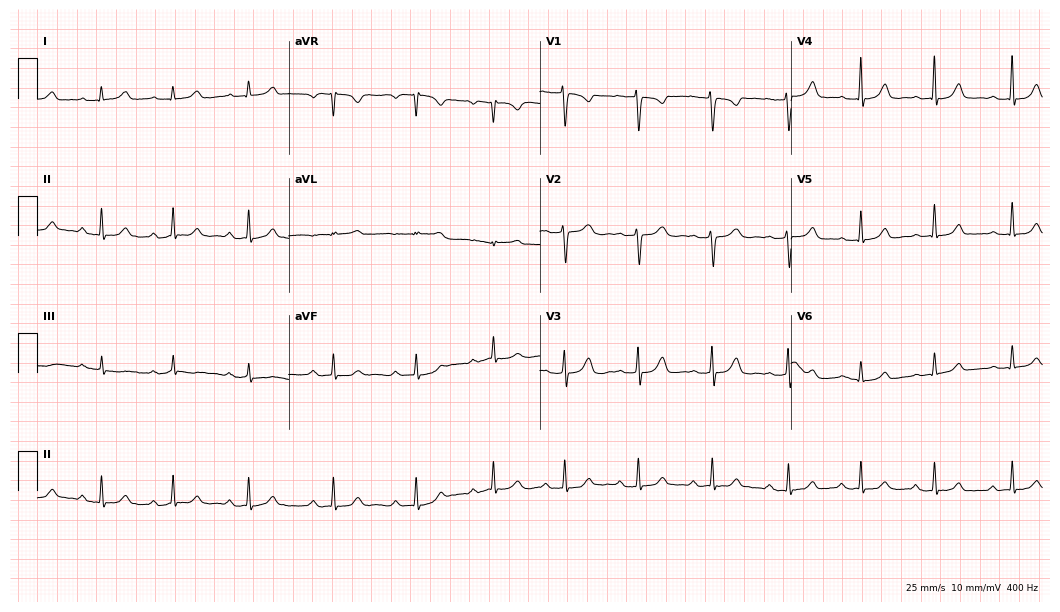
Standard 12-lead ECG recorded from a 25-year-old female. The tracing shows first-degree AV block.